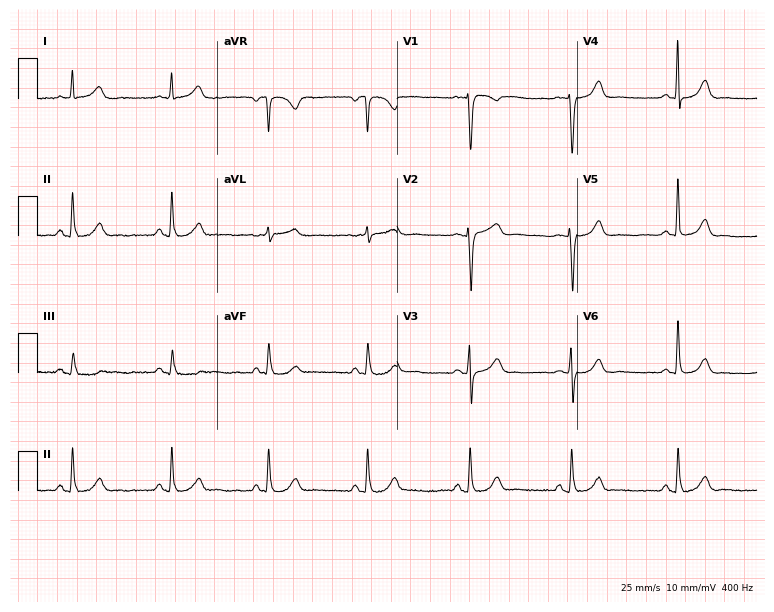
Resting 12-lead electrocardiogram (7.3-second recording at 400 Hz). Patient: a woman, 69 years old. None of these six findings is recorded: first-degree AV block, right bundle branch block, left bundle branch block, sinus bradycardia, atrial fibrillation, sinus tachycardia. Only these six findings were labelled.